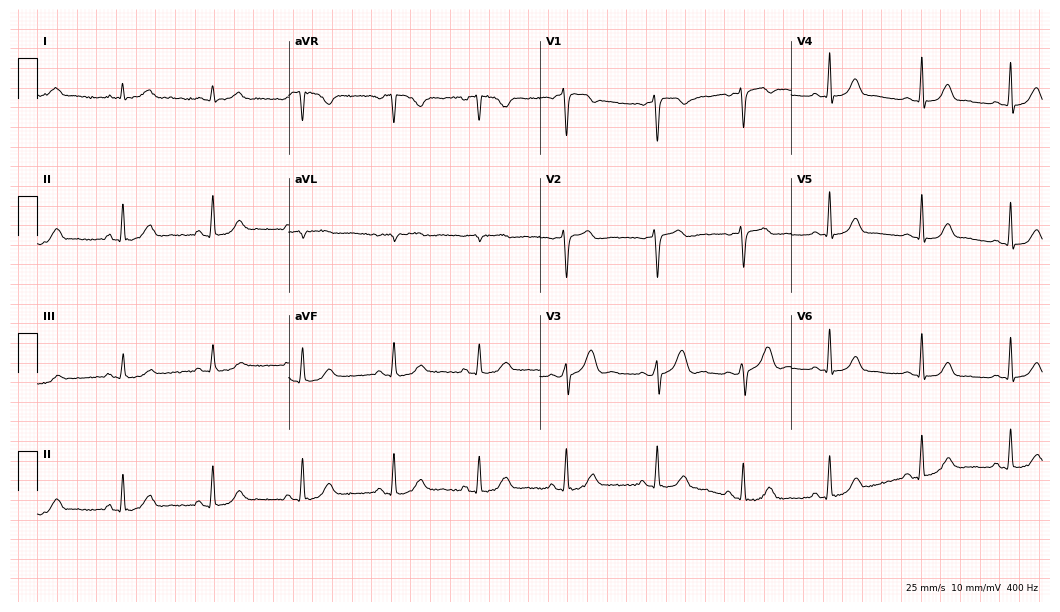
12-lead ECG from a female patient, 43 years old (10.2-second recording at 400 Hz). Recorded interpretation: within normal limits.